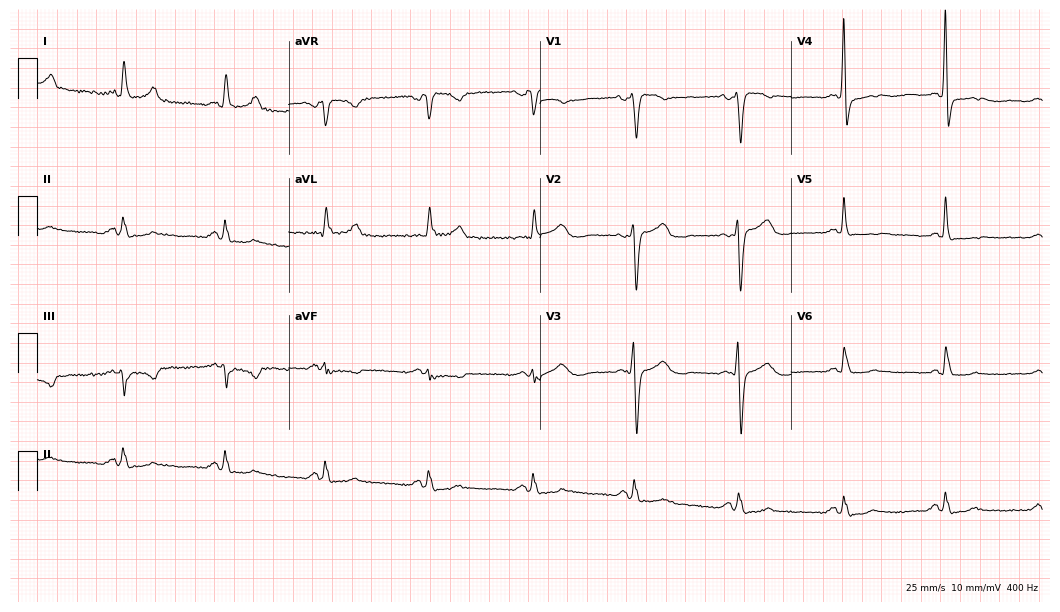
12-lead ECG from a 58-year-old female patient (10.2-second recording at 400 Hz). No first-degree AV block, right bundle branch block, left bundle branch block, sinus bradycardia, atrial fibrillation or sinus tachycardia recorded for this tracing.